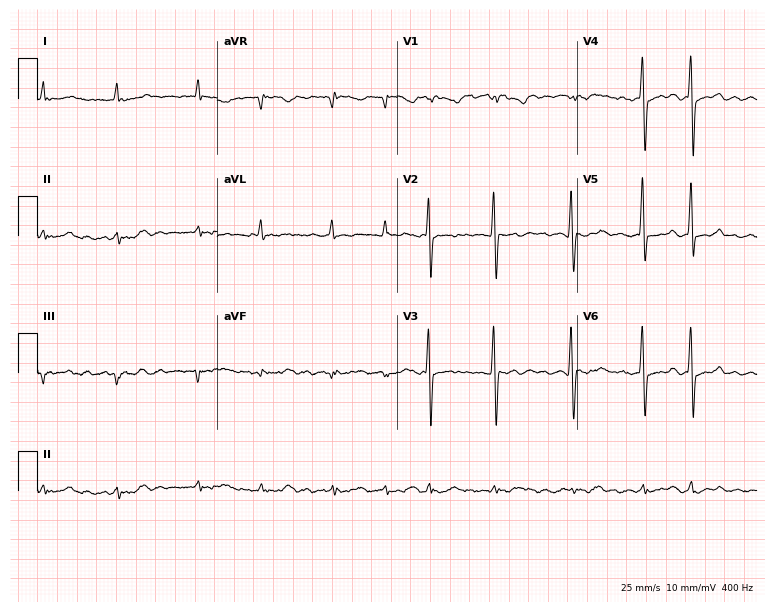
Standard 12-lead ECG recorded from an 82-year-old male. The tracing shows atrial fibrillation.